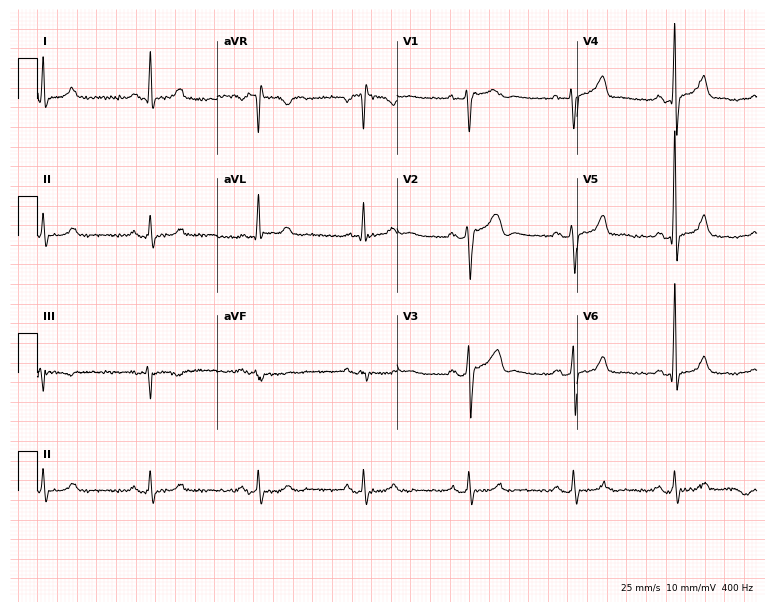
ECG — a male patient, 41 years old. Screened for six findings — first-degree AV block, right bundle branch block, left bundle branch block, sinus bradycardia, atrial fibrillation, sinus tachycardia — none is recorded.